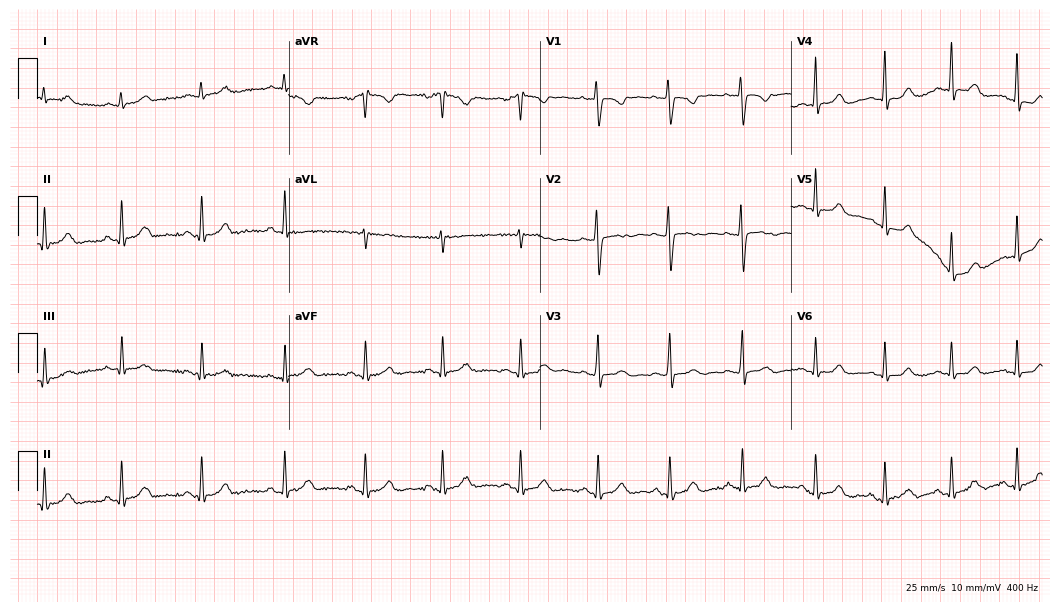
Electrocardiogram, a female, 17 years old. Overall reading on record: normal ECG.